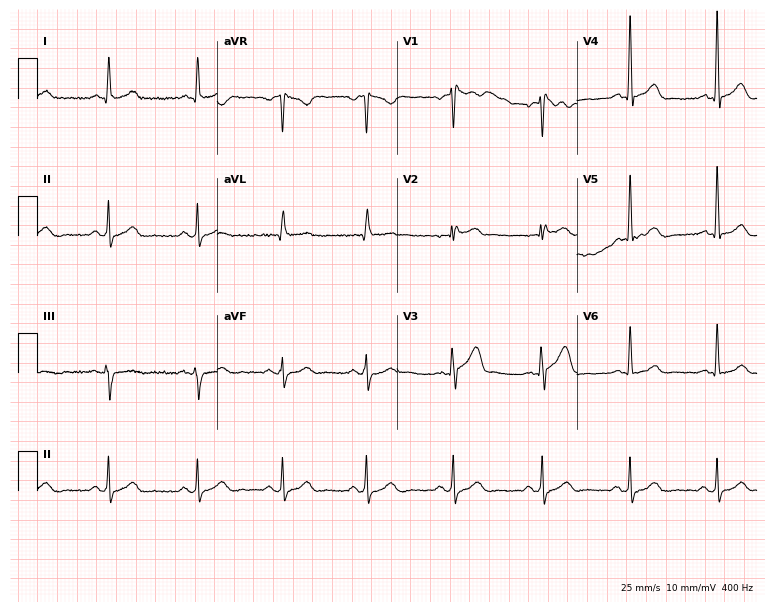
Electrocardiogram (7.3-second recording at 400 Hz), a man, 50 years old. Overall reading on record: normal ECG.